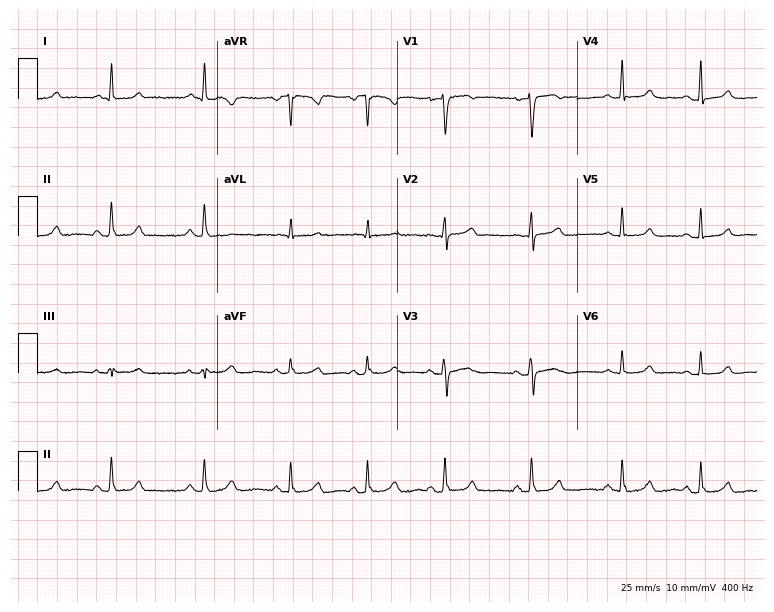
Standard 12-lead ECG recorded from a female, 28 years old. Read as a normal ECG.